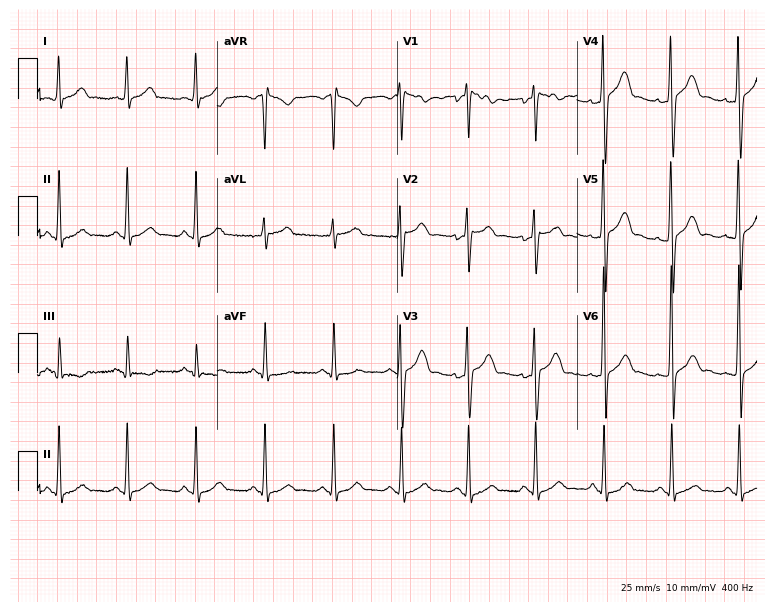
ECG — a male, 42 years old. Labelled as a normal ECG.